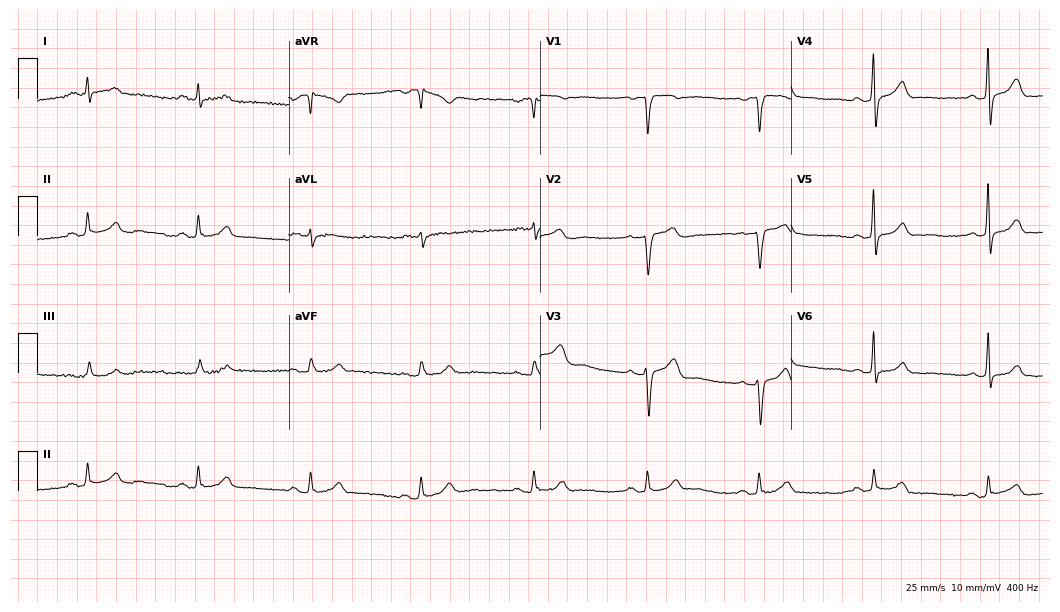
ECG — a 61-year-old man. Screened for six findings — first-degree AV block, right bundle branch block, left bundle branch block, sinus bradycardia, atrial fibrillation, sinus tachycardia — none is recorded. Only these six findings were labelled.